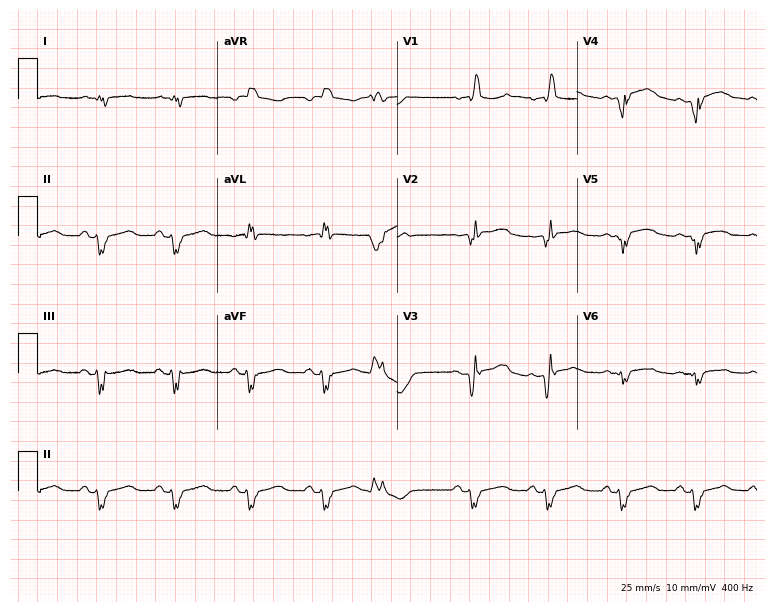
Standard 12-lead ECG recorded from an 84-year-old male. None of these six findings is recorded: first-degree AV block, right bundle branch block, left bundle branch block, sinus bradycardia, atrial fibrillation, sinus tachycardia. Findings outside these six are not listed.